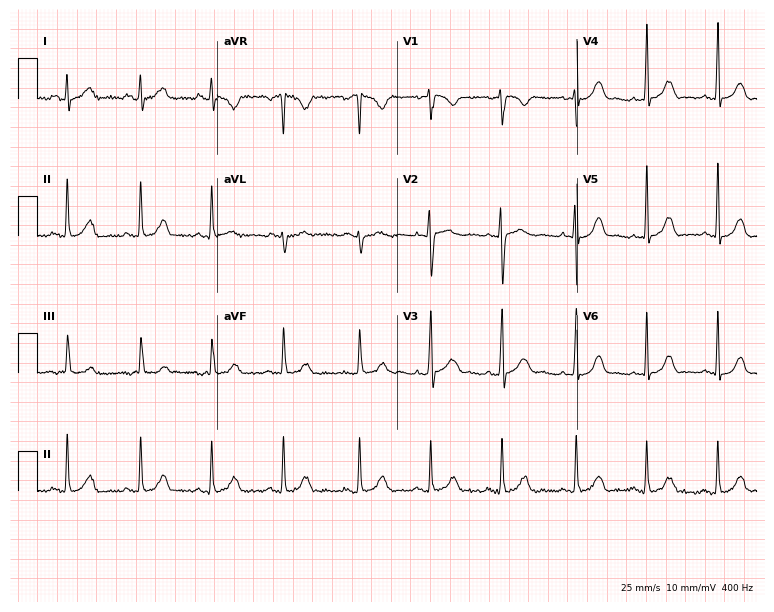
Standard 12-lead ECG recorded from a female patient, 27 years old (7.3-second recording at 400 Hz). Read as a normal ECG.